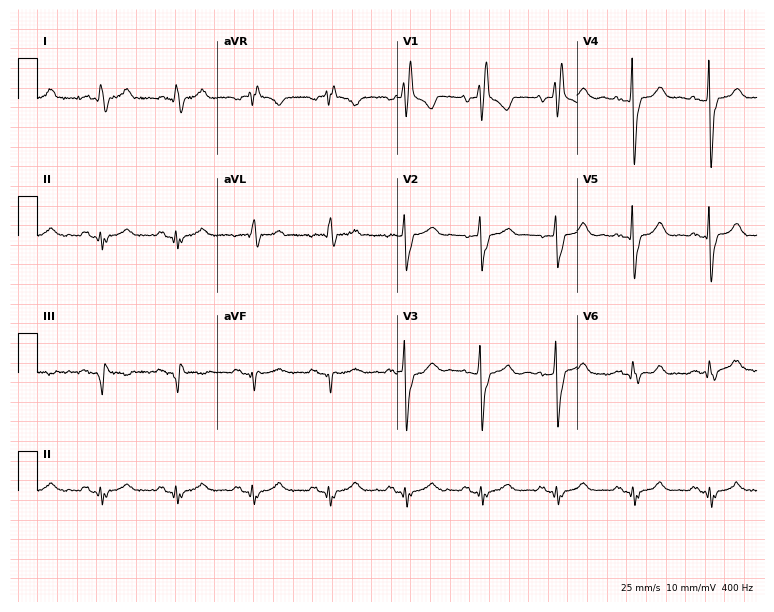
Electrocardiogram, an 84-year-old male. Interpretation includes right bundle branch block.